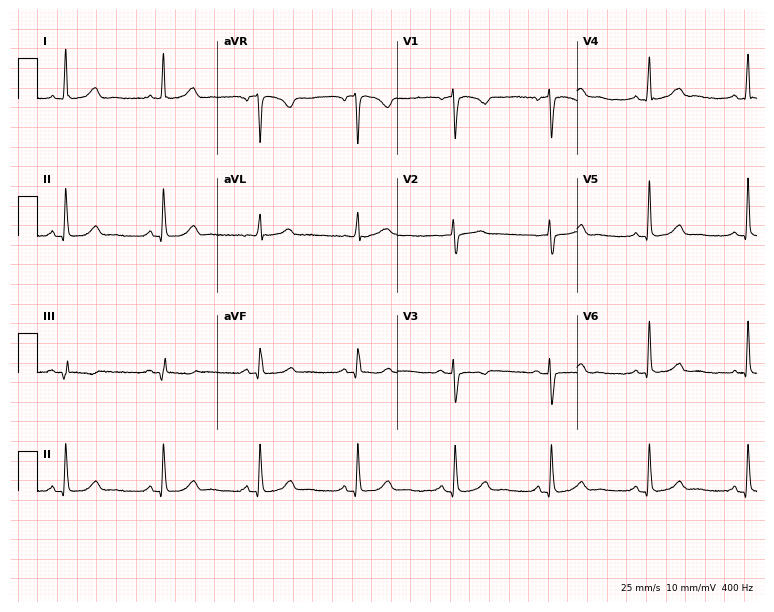
12-lead ECG from a 58-year-old female. Labelled as a normal ECG.